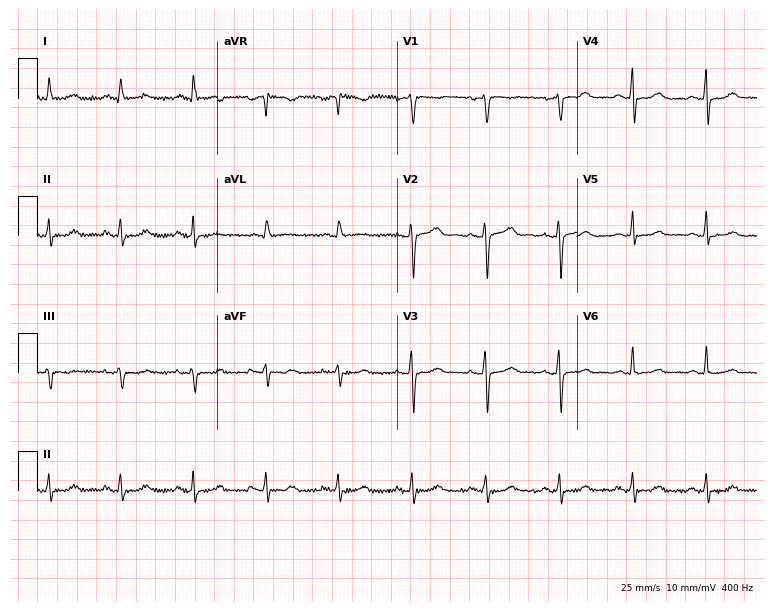
Electrocardiogram, a woman, 35 years old. Overall reading on record: normal ECG.